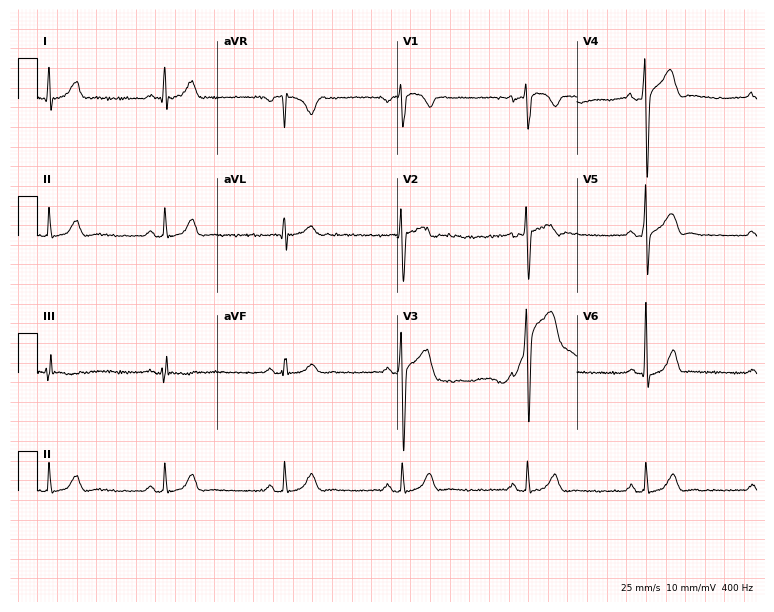
12-lead ECG from a 39-year-old man. Findings include sinus bradycardia (a sinus rate of 50 beats per minute or less).